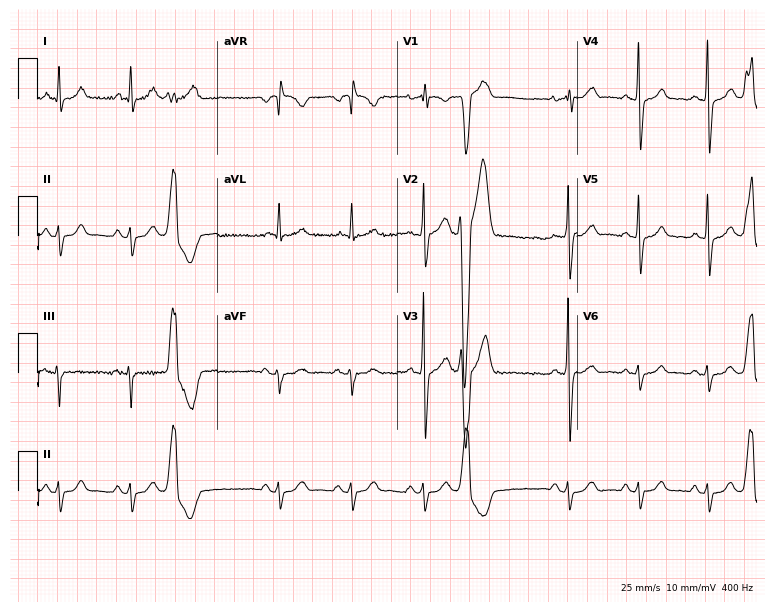
ECG (7.3-second recording at 400 Hz) — a 55-year-old male patient. Screened for six findings — first-degree AV block, right bundle branch block (RBBB), left bundle branch block (LBBB), sinus bradycardia, atrial fibrillation (AF), sinus tachycardia — none is recorded.